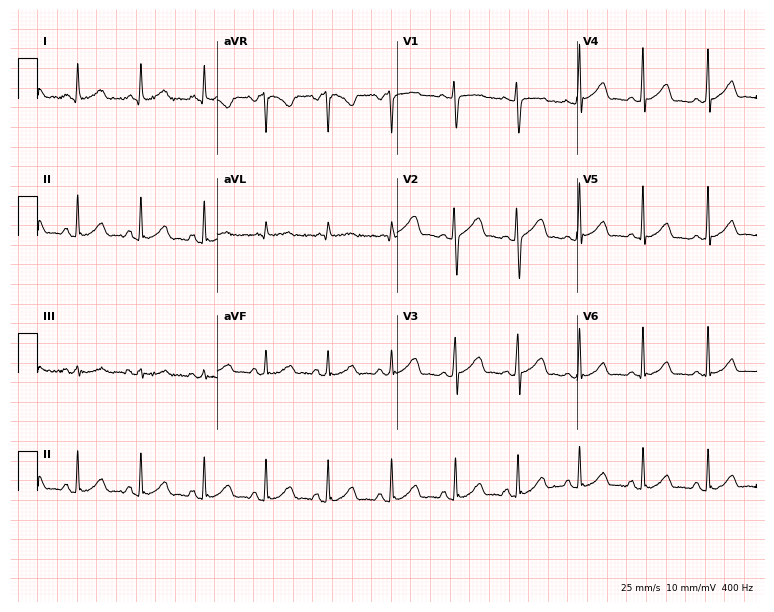
12-lead ECG from a female patient, 19 years old. Labelled as a normal ECG.